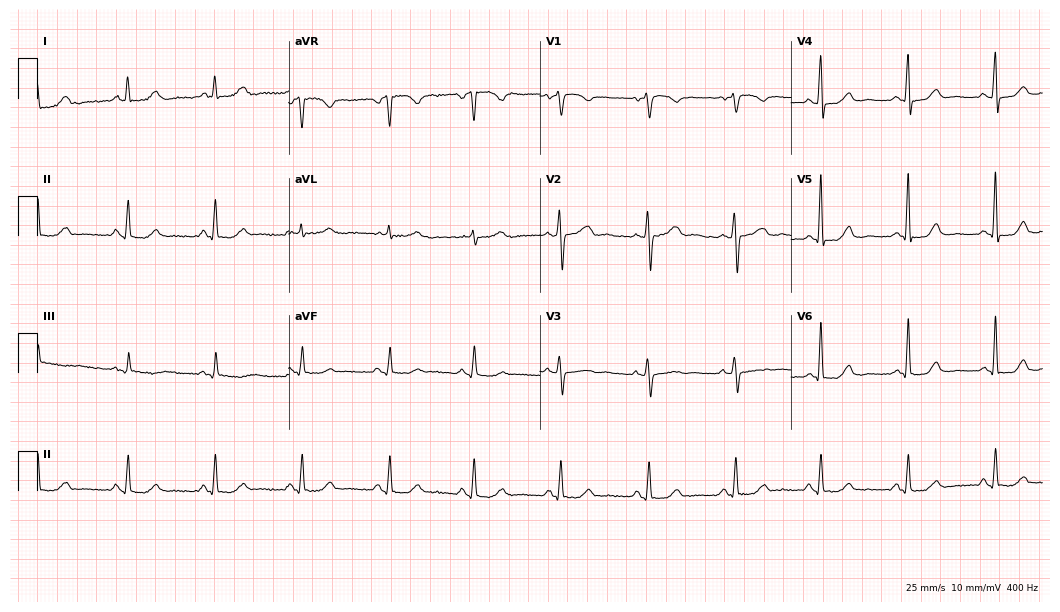
ECG (10.2-second recording at 400 Hz) — a woman, 67 years old. Screened for six findings — first-degree AV block, right bundle branch block, left bundle branch block, sinus bradycardia, atrial fibrillation, sinus tachycardia — none is recorded.